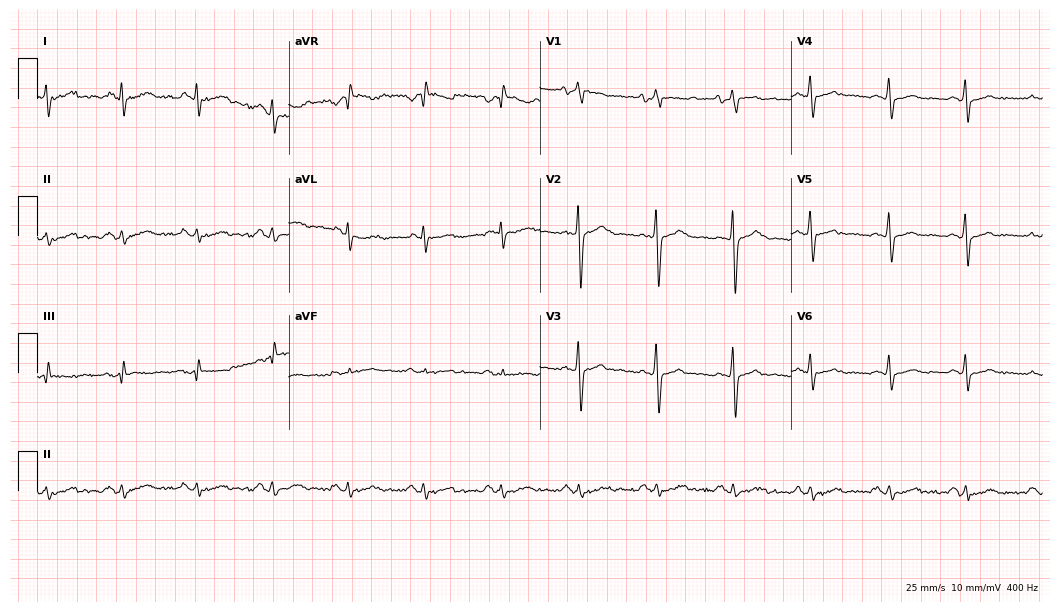
12-lead ECG from a male patient, 58 years old. Recorded interpretation: within normal limits.